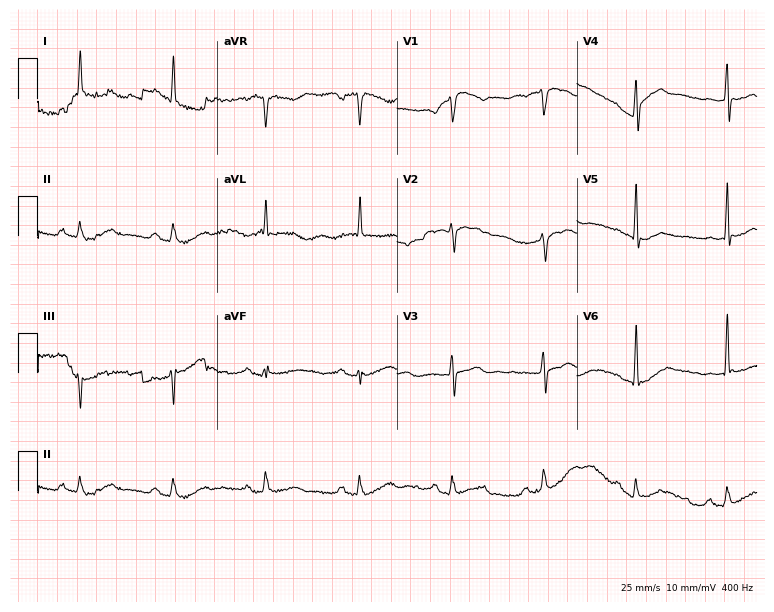
12-lead ECG from a woman, 67 years old (7.3-second recording at 400 Hz). No first-degree AV block, right bundle branch block (RBBB), left bundle branch block (LBBB), sinus bradycardia, atrial fibrillation (AF) or sinus tachycardia recorded for this tracing.